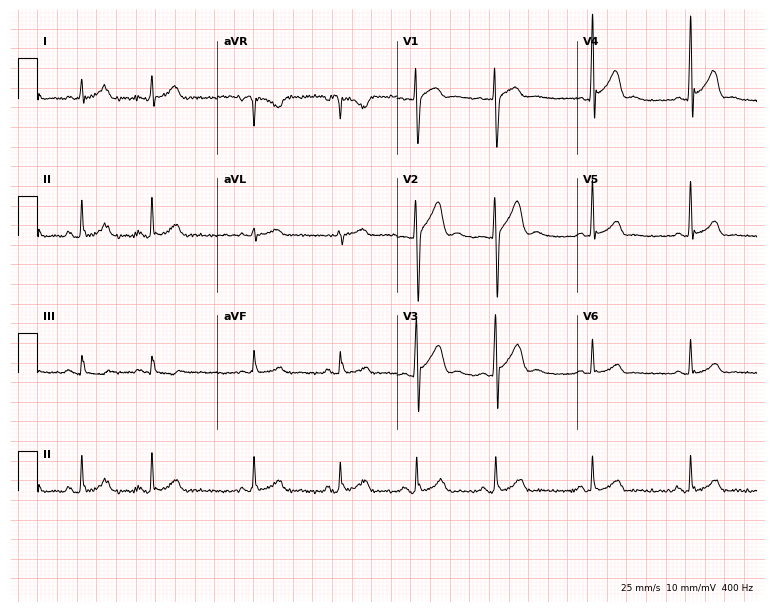
Standard 12-lead ECG recorded from a male patient, 22 years old (7.3-second recording at 400 Hz). None of these six findings is recorded: first-degree AV block, right bundle branch block, left bundle branch block, sinus bradycardia, atrial fibrillation, sinus tachycardia. Findings outside these six are not listed.